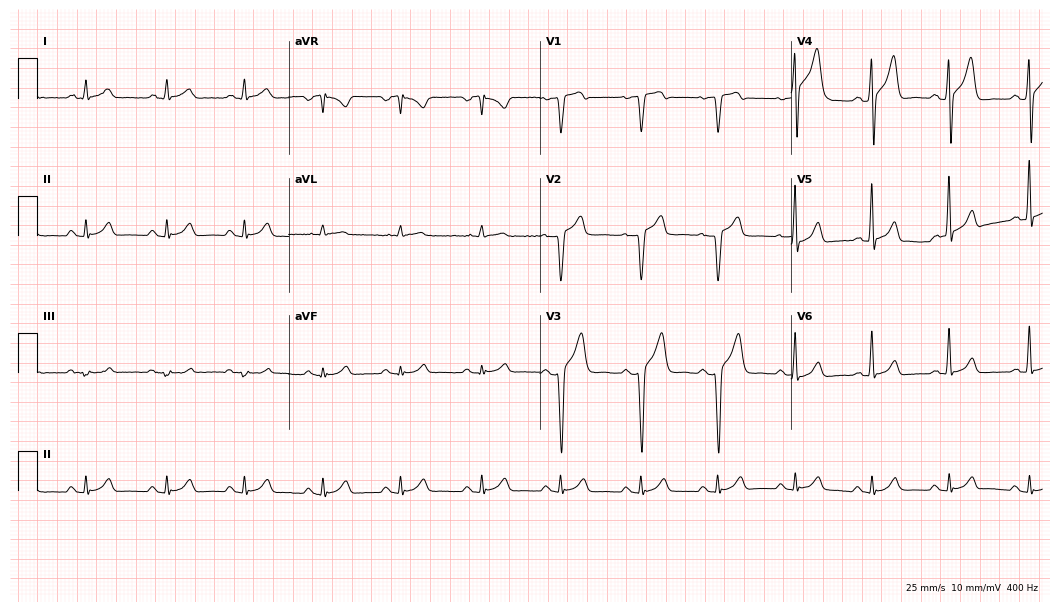
Electrocardiogram, a male patient, 48 years old. Of the six screened findings (first-degree AV block, right bundle branch block, left bundle branch block, sinus bradycardia, atrial fibrillation, sinus tachycardia), none is recorded.